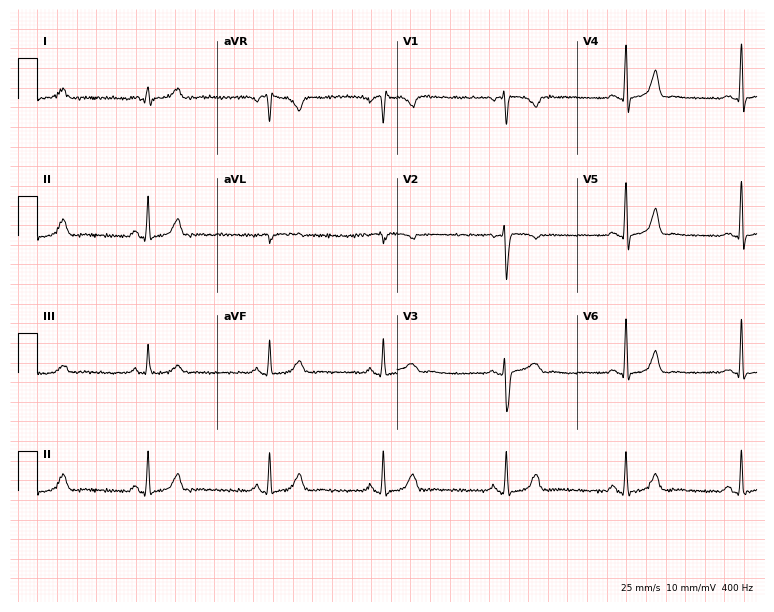
Standard 12-lead ECG recorded from a female patient, 38 years old. None of these six findings is recorded: first-degree AV block, right bundle branch block, left bundle branch block, sinus bradycardia, atrial fibrillation, sinus tachycardia. Other findings, if any, are not listed.